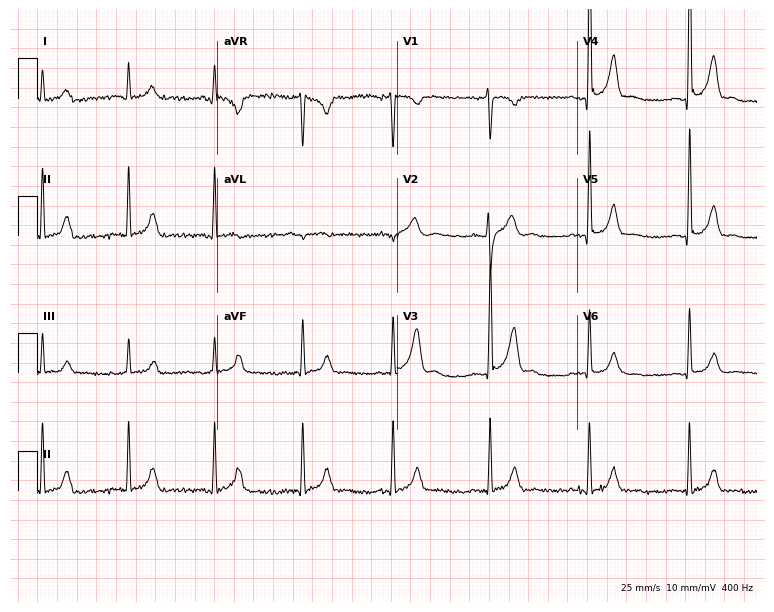
12-lead ECG from a man, 35 years old. Screened for six findings — first-degree AV block, right bundle branch block (RBBB), left bundle branch block (LBBB), sinus bradycardia, atrial fibrillation (AF), sinus tachycardia — none is recorded. Other findings, if any, are not listed.